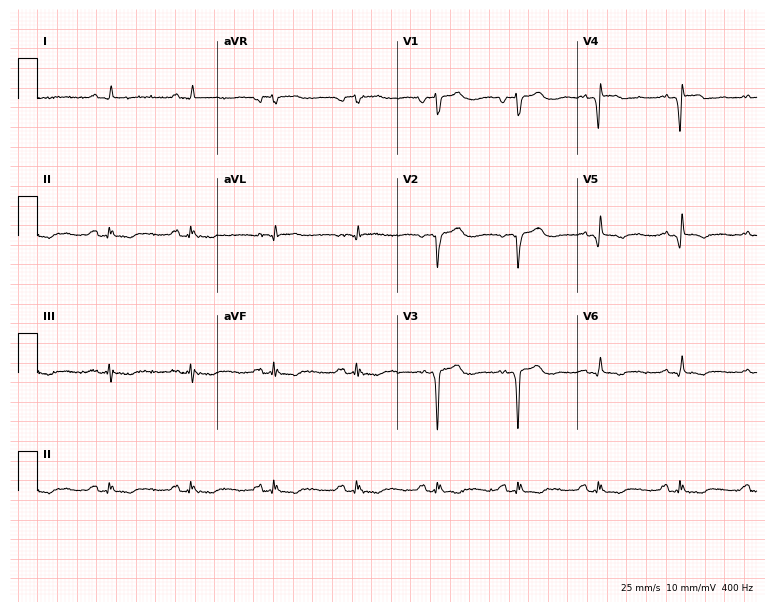
Standard 12-lead ECG recorded from a male, 66 years old (7.3-second recording at 400 Hz). None of these six findings is recorded: first-degree AV block, right bundle branch block, left bundle branch block, sinus bradycardia, atrial fibrillation, sinus tachycardia. Other findings, if any, are not listed.